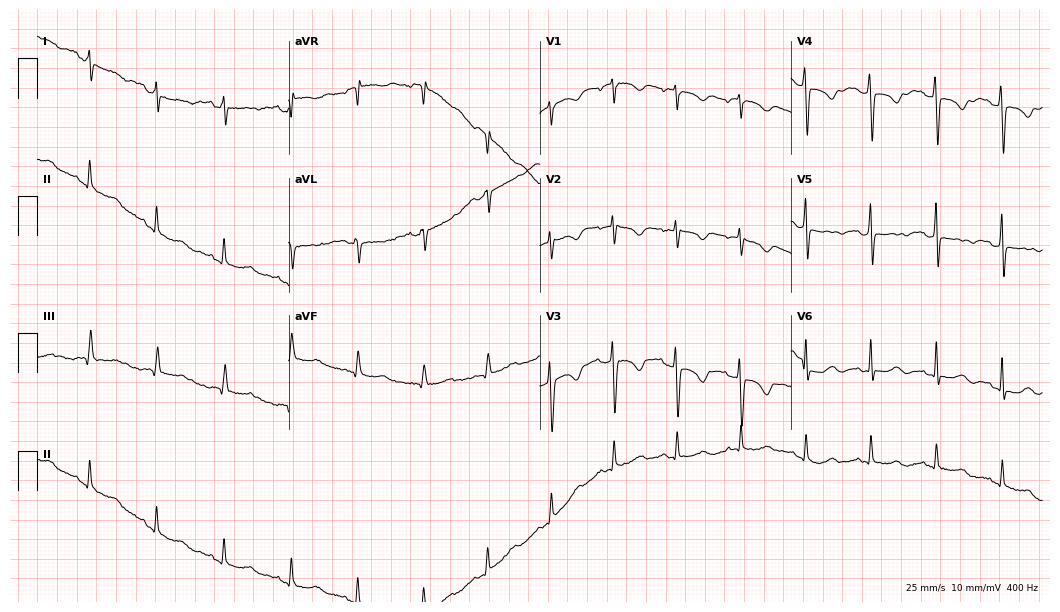
Standard 12-lead ECG recorded from a 55-year-old woman (10.2-second recording at 400 Hz). None of these six findings is recorded: first-degree AV block, right bundle branch block, left bundle branch block, sinus bradycardia, atrial fibrillation, sinus tachycardia. Other findings, if any, are not listed.